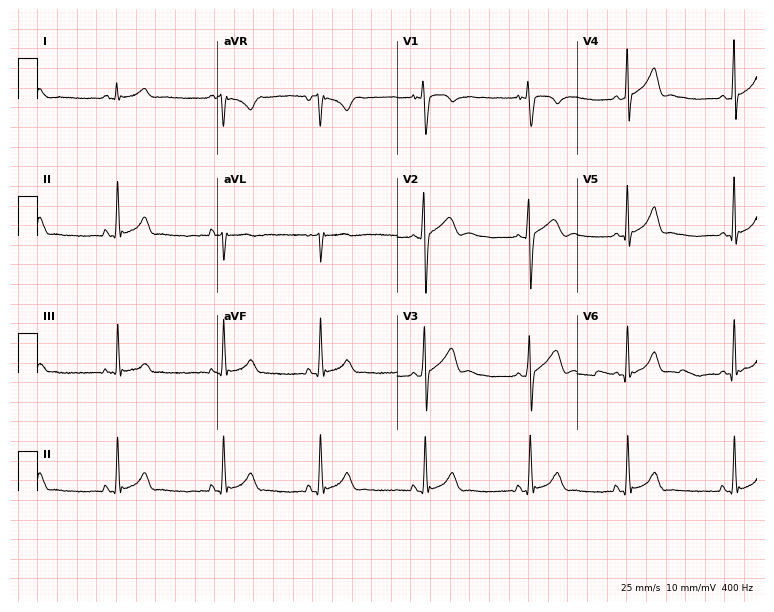
ECG — an 18-year-old man. Labelled as a normal ECG.